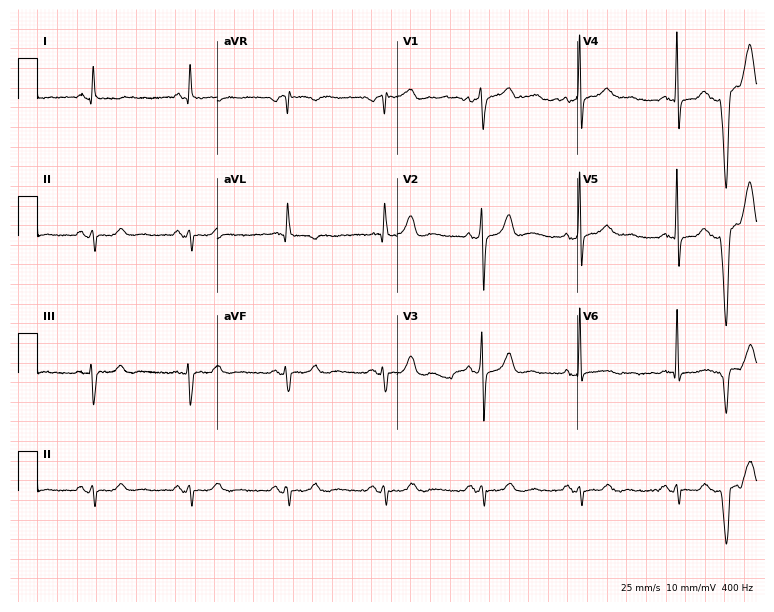
12-lead ECG from a male, 73 years old (7.3-second recording at 400 Hz). No first-degree AV block, right bundle branch block, left bundle branch block, sinus bradycardia, atrial fibrillation or sinus tachycardia recorded for this tracing.